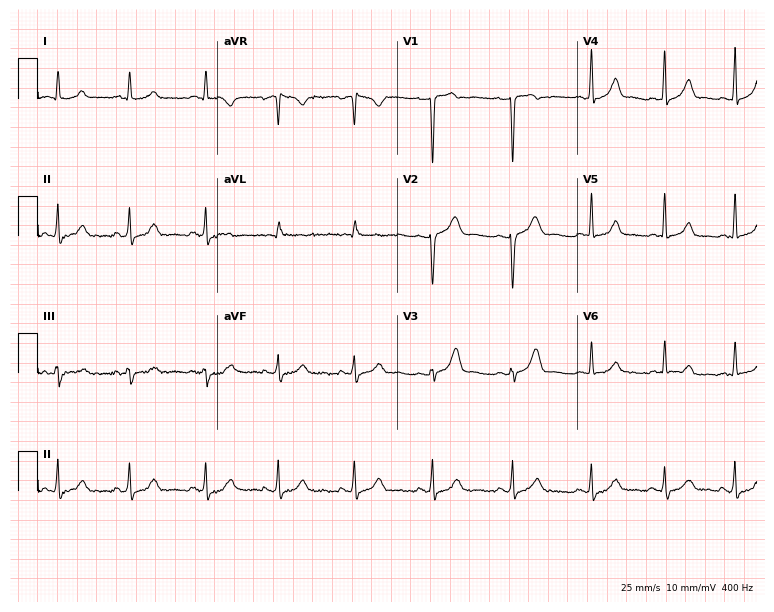
Standard 12-lead ECG recorded from a female patient, 29 years old (7.3-second recording at 400 Hz). Read as a normal ECG.